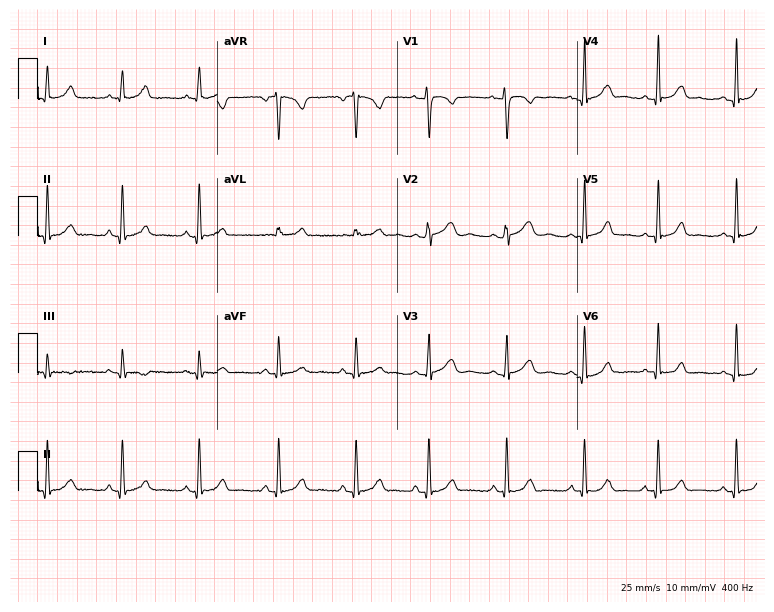
Standard 12-lead ECG recorded from a female, 29 years old. None of these six findings is recorded: first-degree AV block, right bundle branch block, left bundle branch block, sinus bradycardia, atrial fibrillation, sinus tachycardia. Only these six findings were labelled.